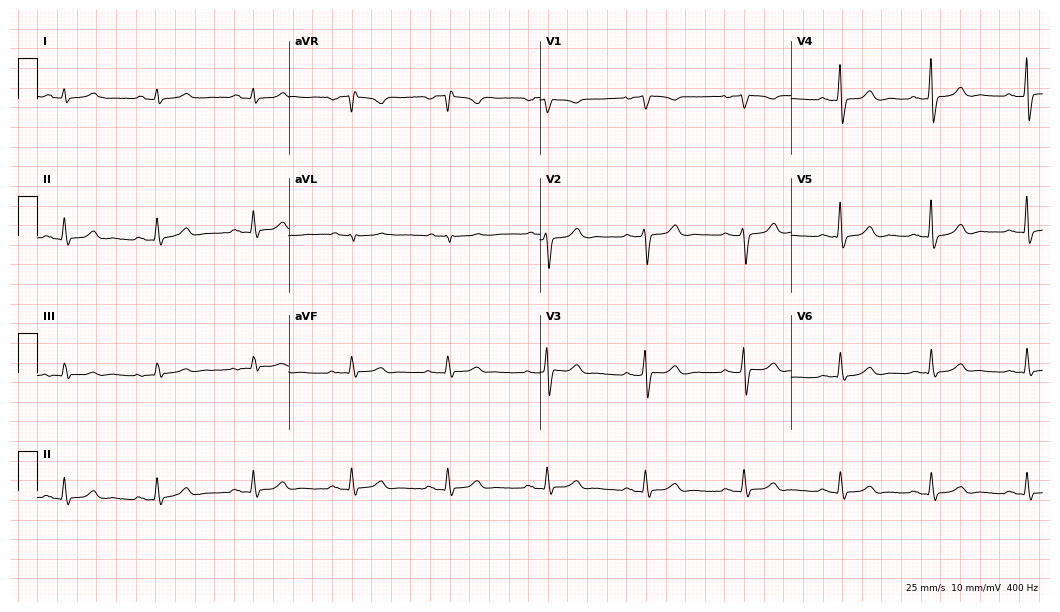
12-lead ECG from a 35-year-old woman (10.2-second recording at 400 Hz). Recorded interpretation: within normal limits.